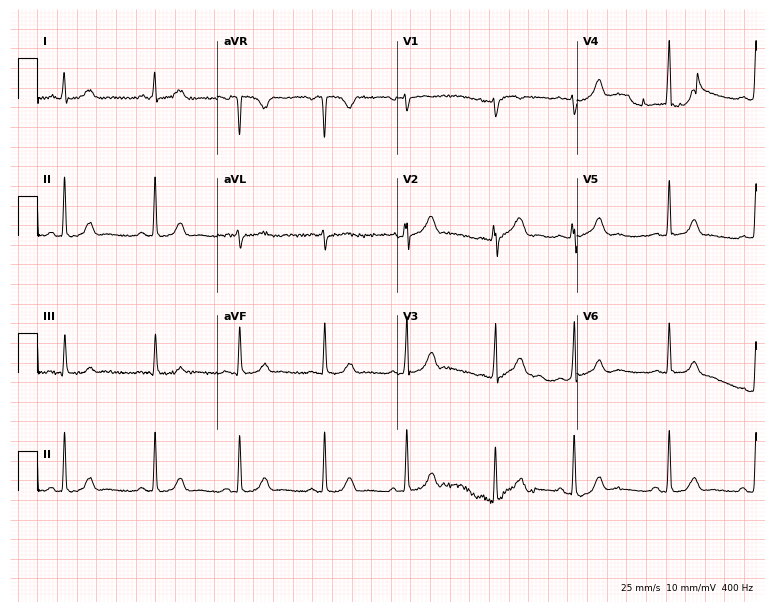
Standard 12-lead ECG recorded from a 25-year-old woman (7.3-second recording at 400 Hz). None of these six findings is recorded: first-degree AV block, right bundle branch block, left bundle branch block, sinus bradycardia, atrial fibrillation, sinus tachycardia. Findings outside these six are not listed.